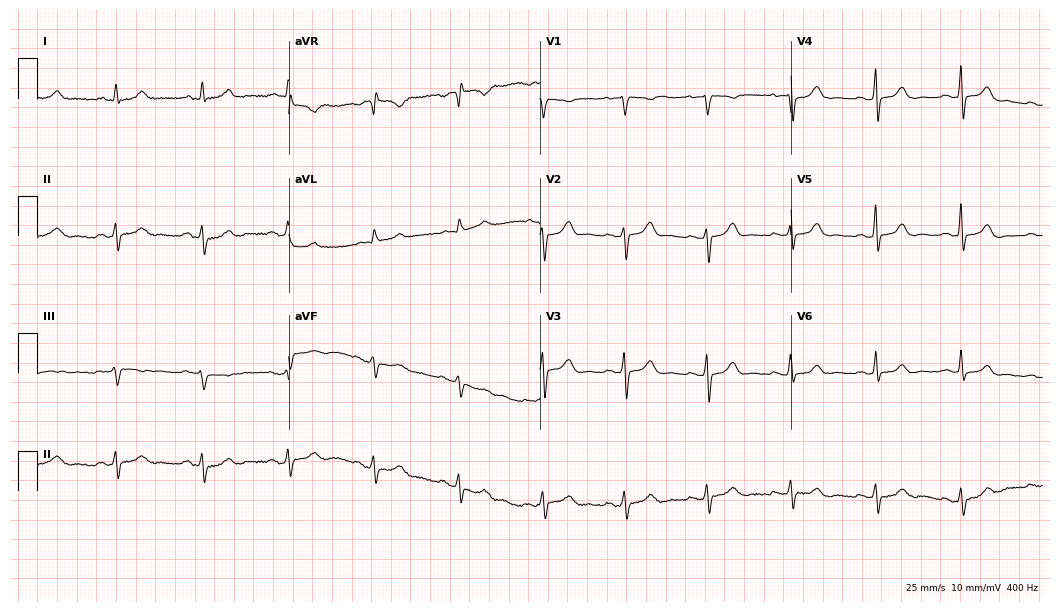
Electrocardiogram, a woman, 60 years old. Of the six screened findings (first-degree AV block, right bundle branch block, left bundle branch block, sinus bradycardia, atrial fibrillation, sinus tachycardia), none is recorded.